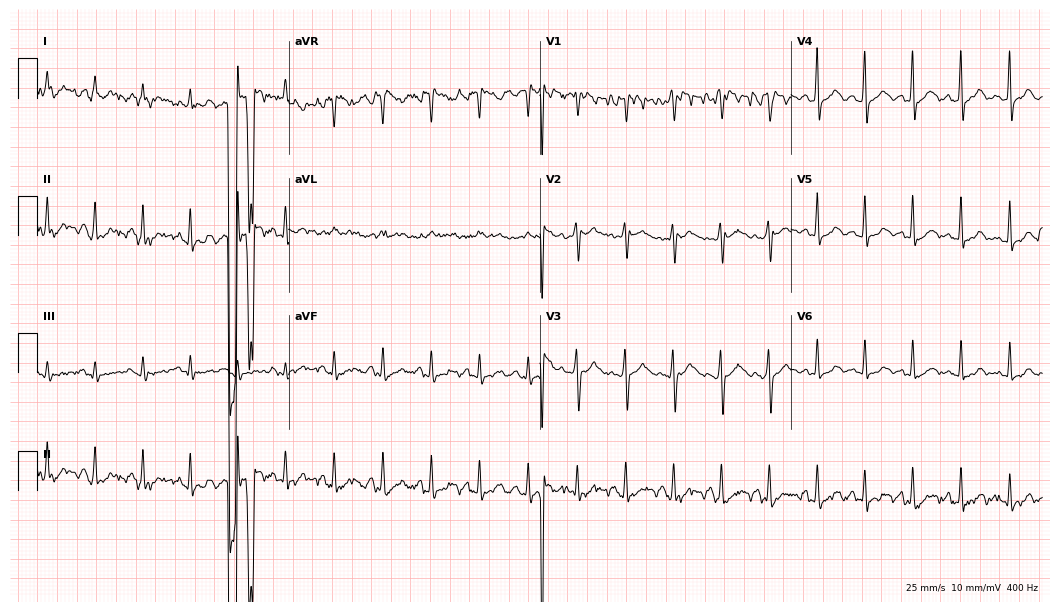
Standard 12-lead ECG recorded from a 44-year-old female patient (10.2-second recording at 400 Hz). None of these six findings is recorded: first-degree AV block, right bundle branch block, left bundle branch block, sinus bradycardia, atrial fibrillation, sinus tachycardia.